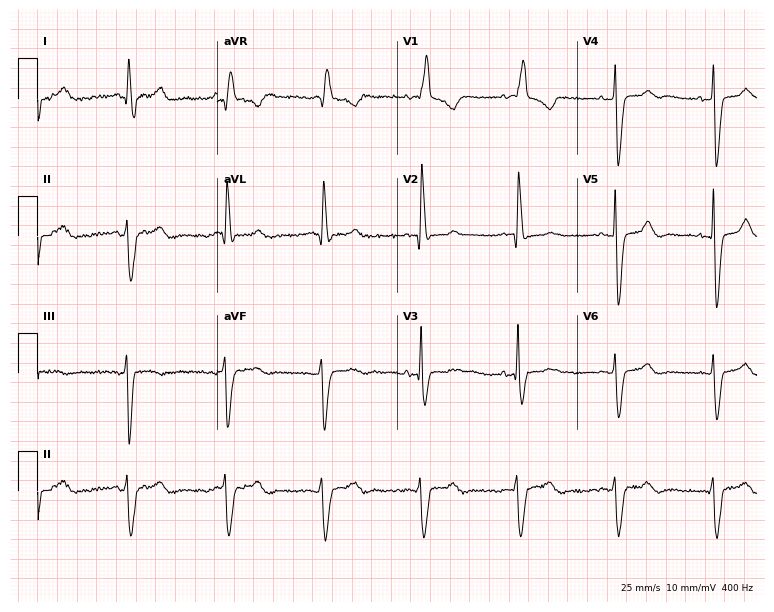
Standard 12-lead ECG recorded from a 76-year-old man (7.3-second recording at 400 Hz). The tracing shows right bundle branch block.